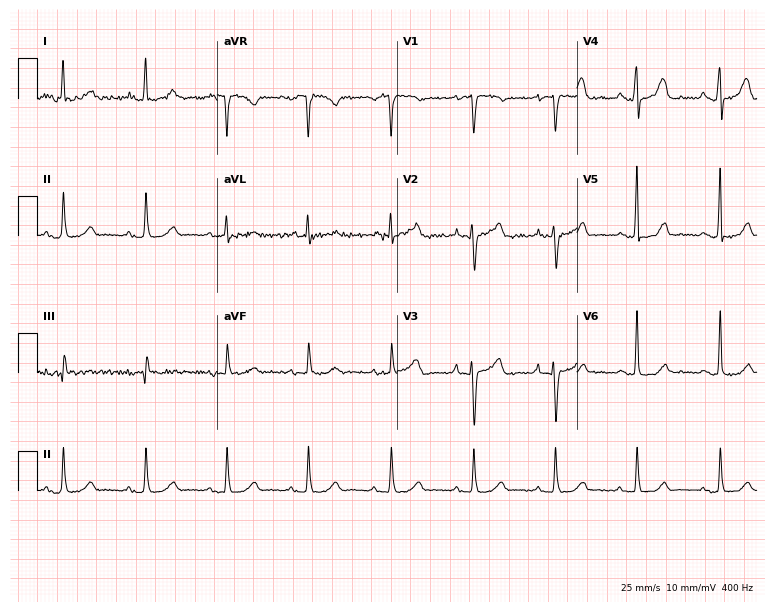
12-lead ECG from a 37-year-old female. Labelled as a normal ECG.